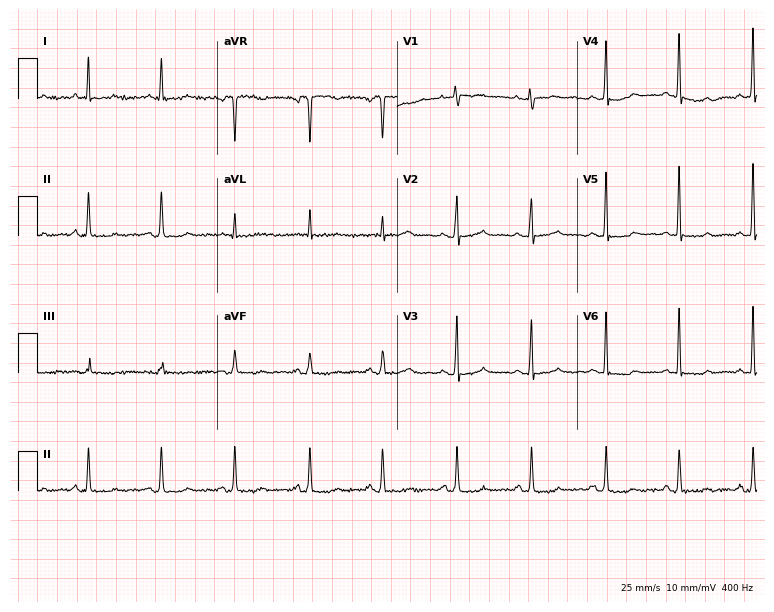
12-lead ECG from a woman, 53 years old. Recorded interpretation: within normal limits.